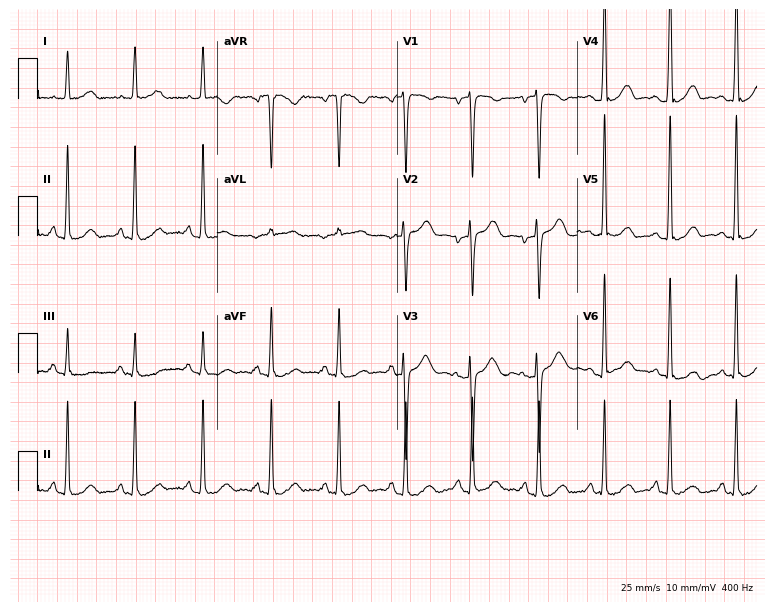
Electrocardiogram (7.3-second recording at 400 Hz), a 30-year-old man. Of the six screened findings (first-degree AV block, right bundle branch block, left bundle branch block, sinus bradycardia, atrial fibrillation, sinus tachycardia), none is recorded.